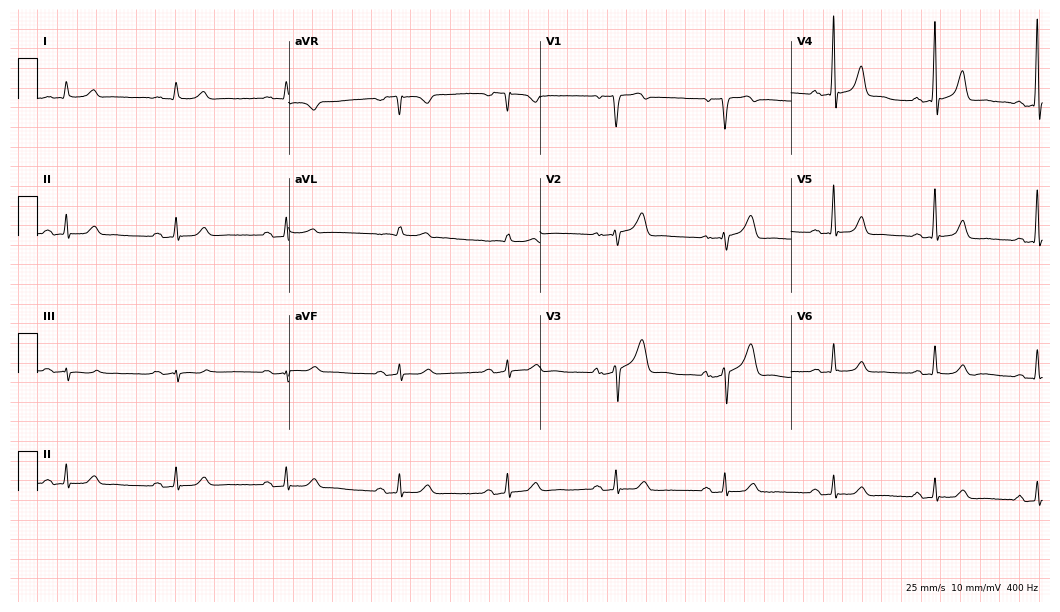
Standard 12-lead ECG recorded from a male, 69 years old (10.2-second recording at 400 Hz). None of these six findings is recorded: first-degree AV block, right bundle branch block, left bundle branch block, sinus bradycardia, atrial fibrillation, sinus tachycardia. Only these six findings were labelled.